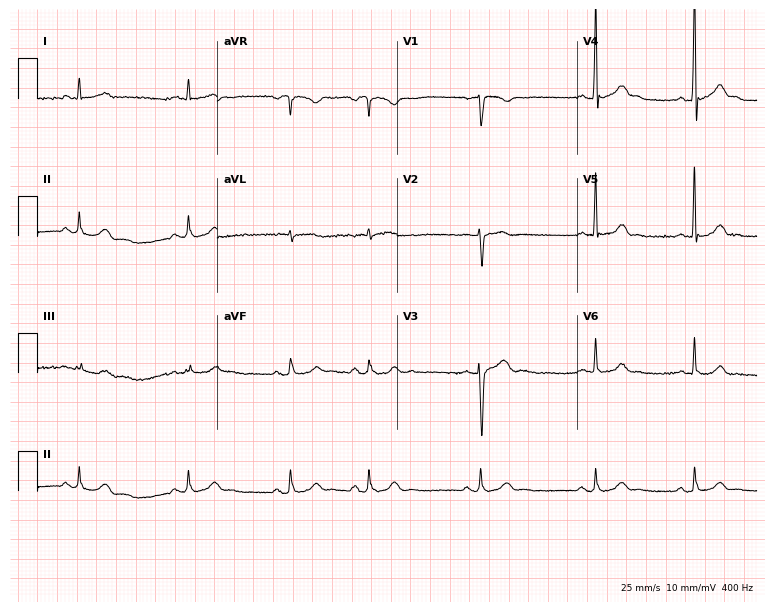
ECG — a male, 25 years old. Labelled as a normal ECG.